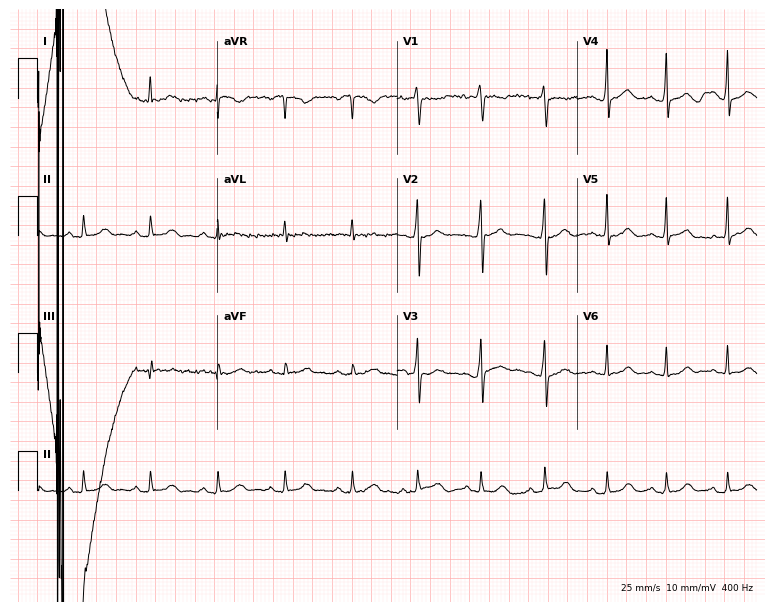
ECG — a 38-year-old male. Labelled as a normal ECG.